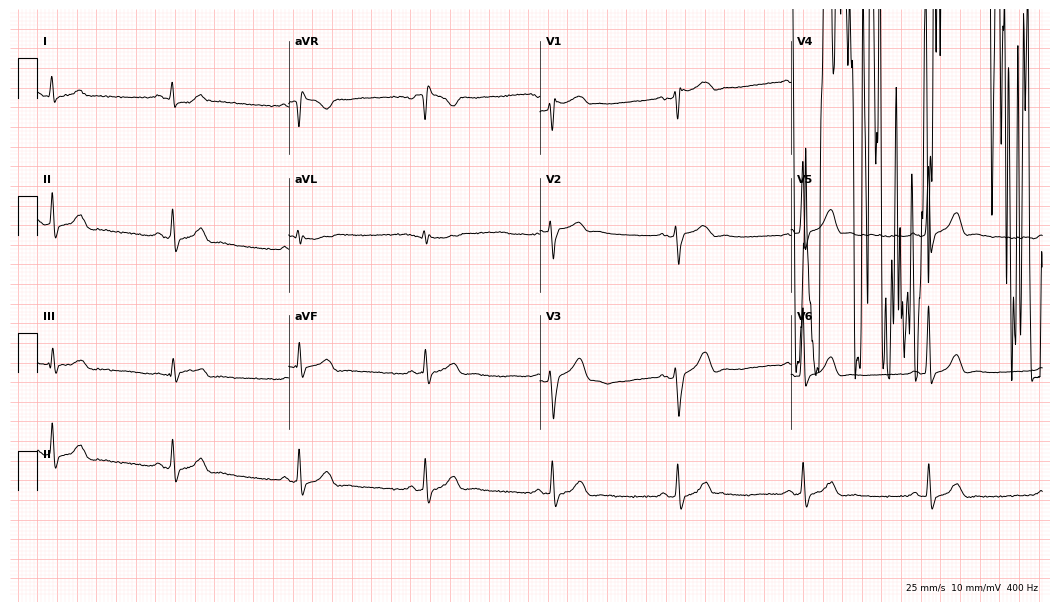
Standard 12-lead ECG recorded from a male, 49 years old (10.2-second recording at 400 Hz). None of these six findings is recorded: first-degree AV block, right bundle branch block (RBBB), left bundle branch block (LBBB), sinus bradycardia, atrial fibrillation (AF), sinus tachycardia. Other findings, if any, are not listed.